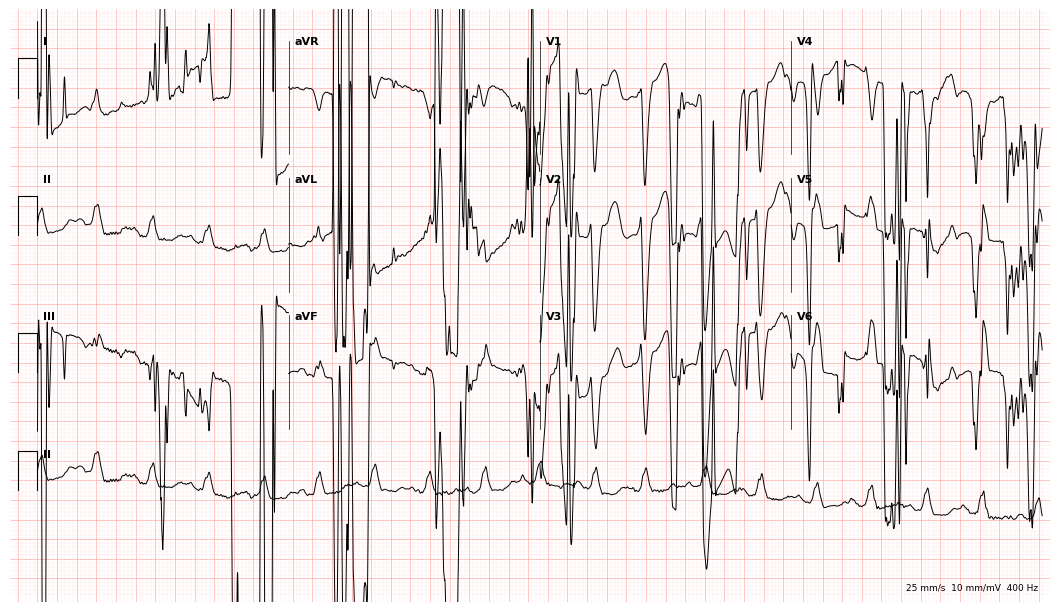
12-lead ECG from a woman, 68 years old (10.2-second recording at 400 Hz). No first-degree AV block, right bundle branch block (RBBB), left bundle branch block (LBBB), sinus bradycardia, atrial fibrillation (AF) or sinus tachycardia recorded for this tracing. Other findings, if any, are not listed.